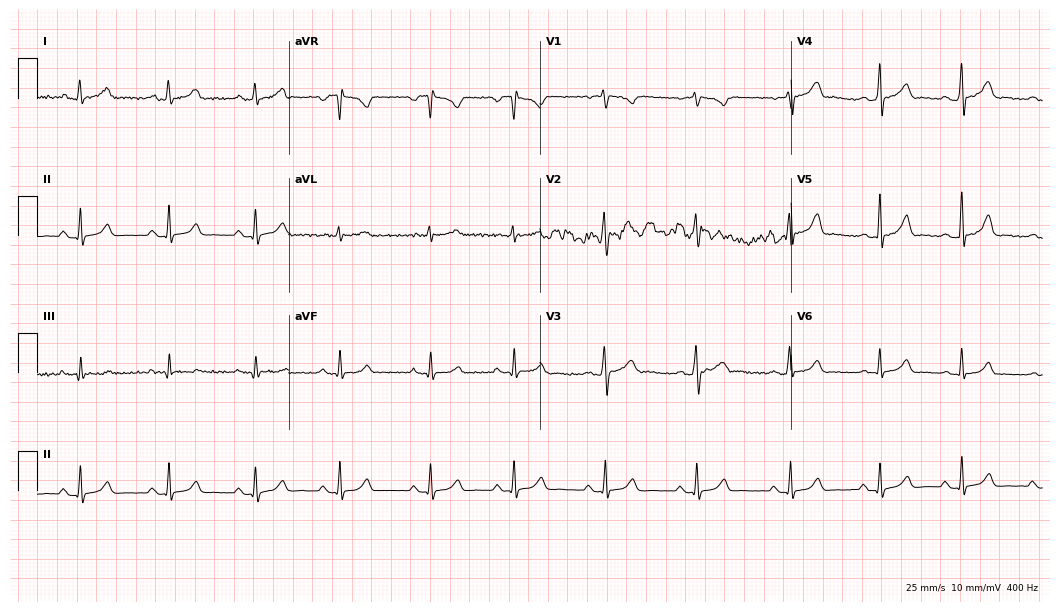
ECG (10.2-second recording at 400 Hz) — a female, 22 years old. Labelled as a normal ECG.